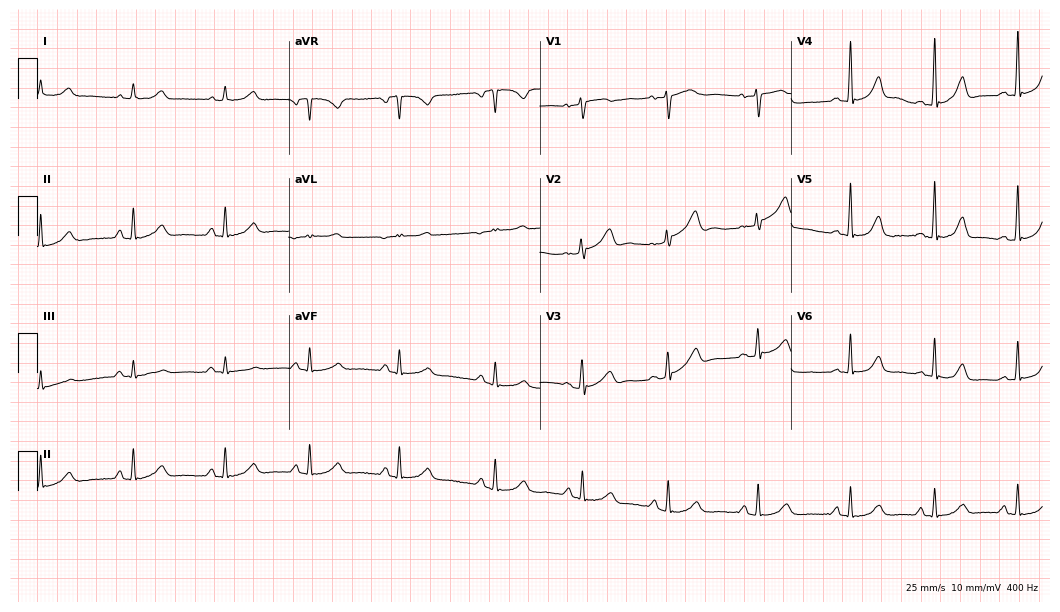
12-lead ECG from a 34-year-old woman. Labelled as a normal ECG.